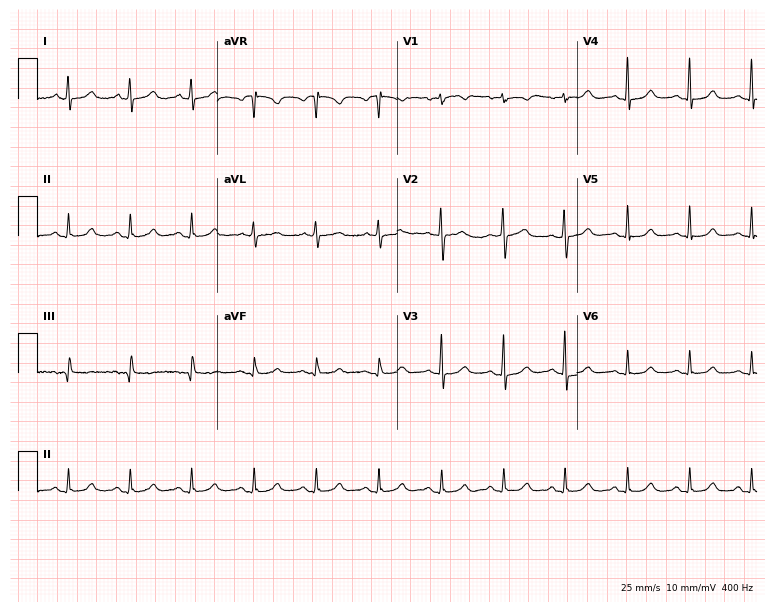
Resting 12-lead electrocardiogram. Patient: a 57-year-old woman. Read as a normal ECG.